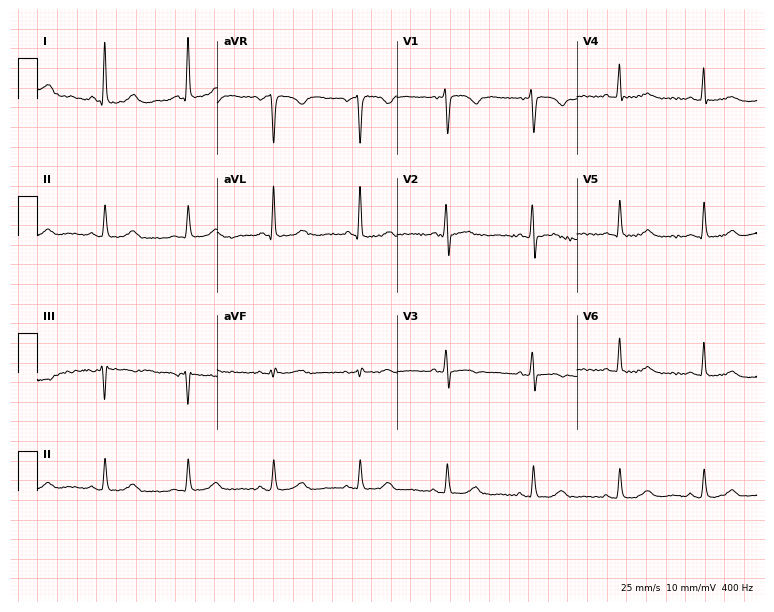
Standard 12-lead ECG recorded from a female, 64 years old (7.3-second recording at 400 Hz). None of these six findings is recorded: first-degree AV block, right bundle branch block, left bundle branch block, sinus bradycardia, atrial fibrillation, sinus tachycardia. Other findings, if any, are not listed.